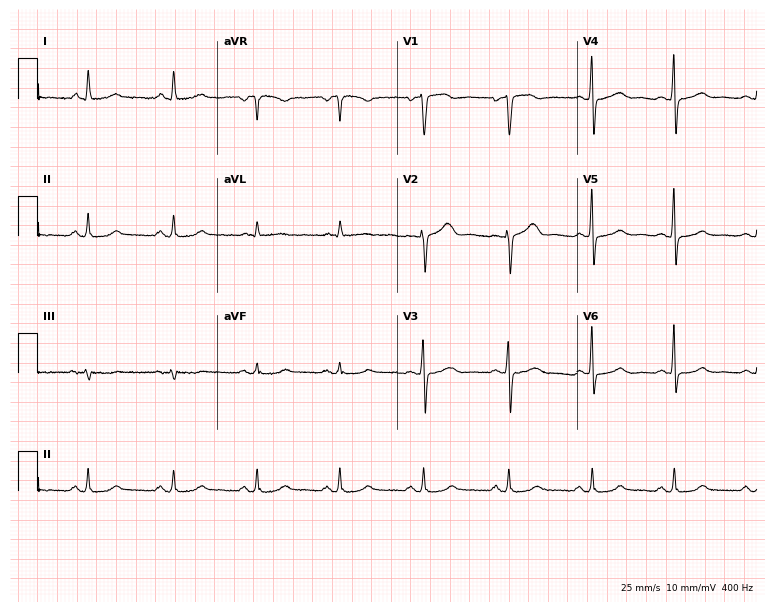
Electrocardiogram (7.3-second recording at 400 Hz), a 58-year-old female. Overall reading on record: normal ECG.